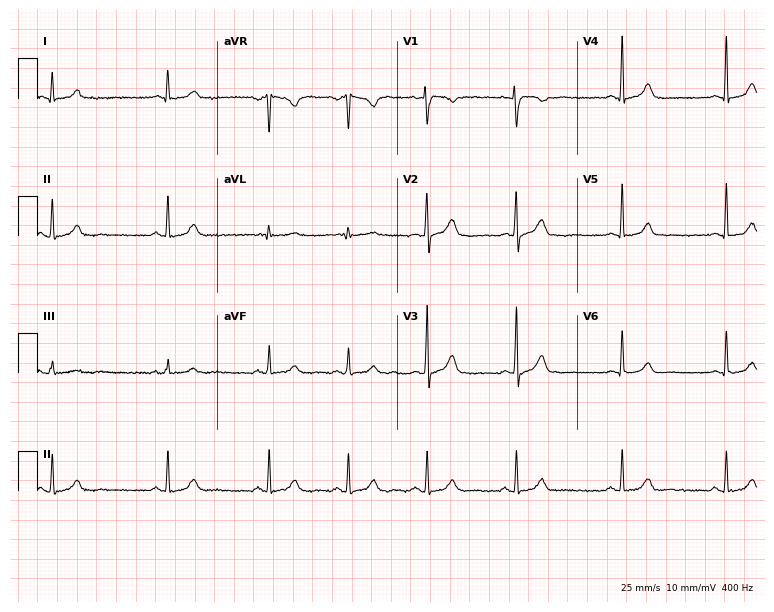
Electrocardiogram, a woman, 36 years old. Overall reading on record: normal ECG.